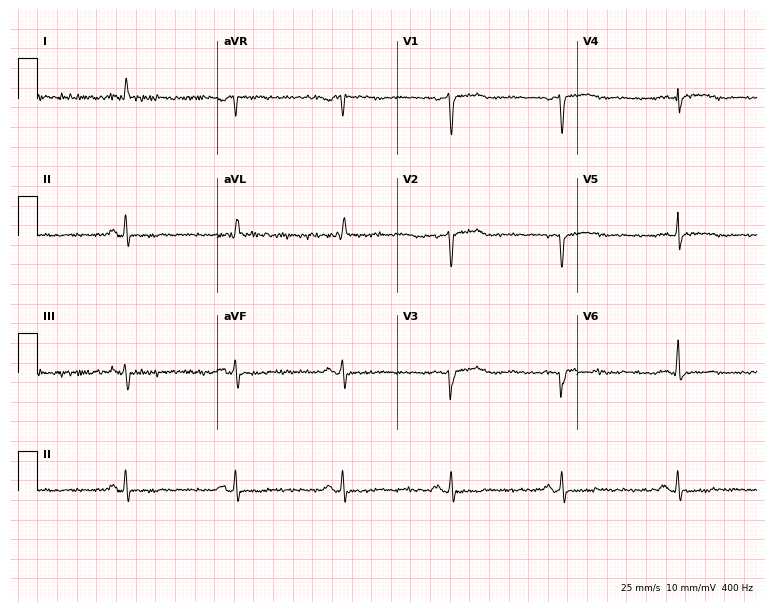
Resting 12-lead electrocardiogram. Patient: a 66-year-old male. None of these six findings is recorded: first-degree AV block, right bundle branch block, left bundle branch block, sinus bradycardia, atrial fibrillation, sinus tachycardia.